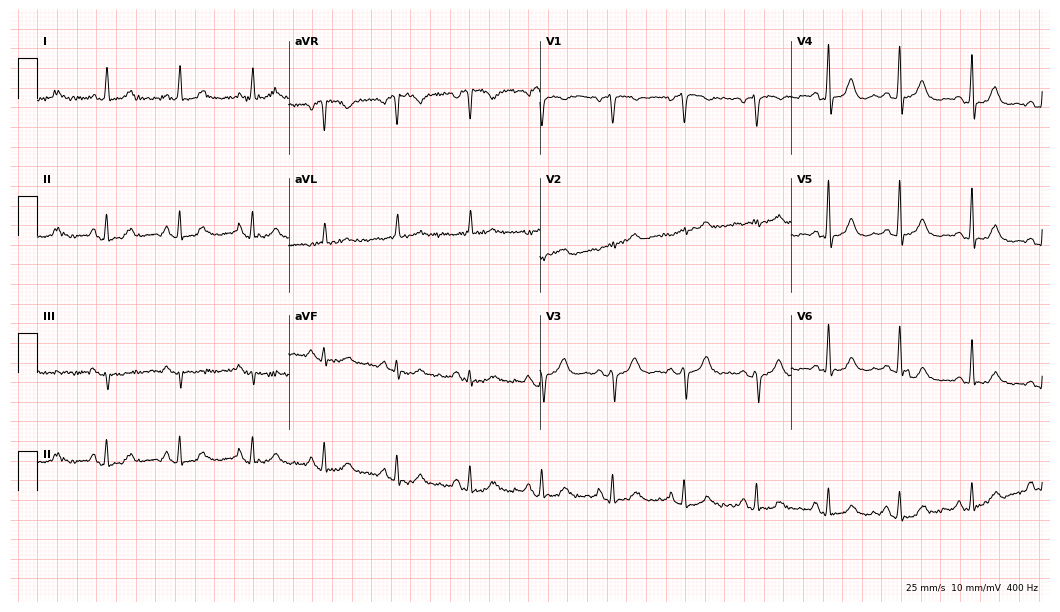
12-lead ECG (10.2-second recording at 400 Hz) from a man, 73 years old. Labelled as a normal ECG.